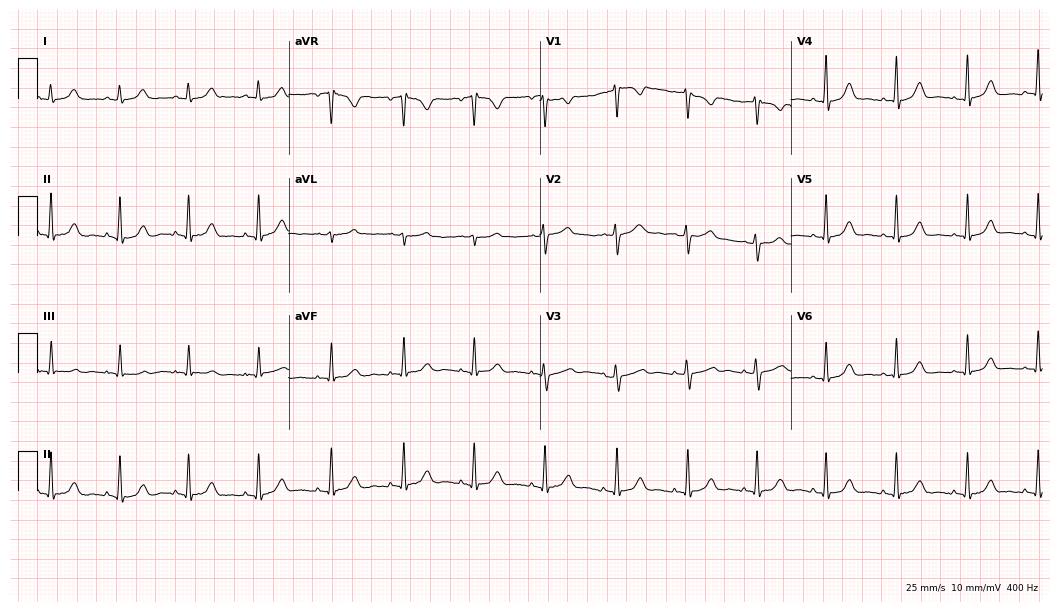
Electrocardiogram (10.2-second recording at 400 Hz), a 36-year-old woman. Of the six screened findings (first-degree AV block, right bundle branch block, left bundle branch block, sinus bradycardia, atrial fibrillation, sinus tachycardia), none is recorded. Only these six findings were labelled.